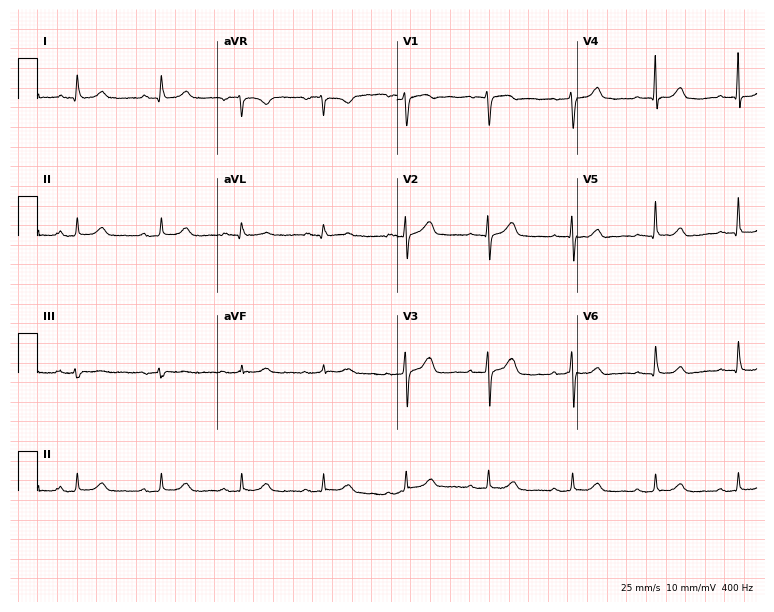
Electrocardiogram (7.3-second recording at 400 Hz), a female, 73 years old. Of the six screened findings (first-degree AV block, right bundle branch block, left bundle branch block, sinus bradycardia, atrial fibrillation, sinus tachycardia), none is recorded. Only these six findings were labelled.